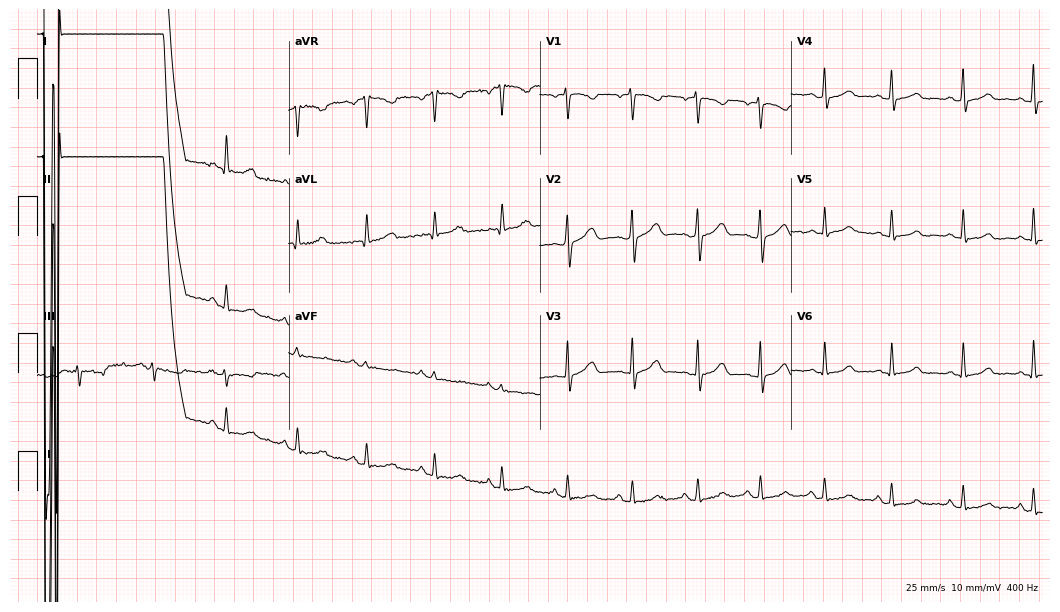
12-lead ECG from a female patient, 50 years old. Labelled as a normal ECG.